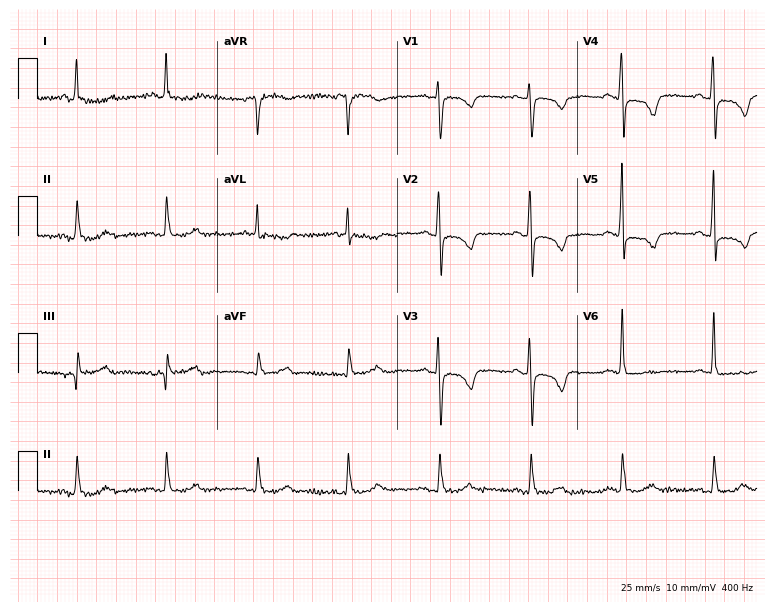
ECG — a female patient, 72 years old. Screened for six findings — first-degree AV block, right bundle branch block, left bundle branch block, sinus bradycardia, atrial fibrillation, sinus tachycardia — none is recorded.